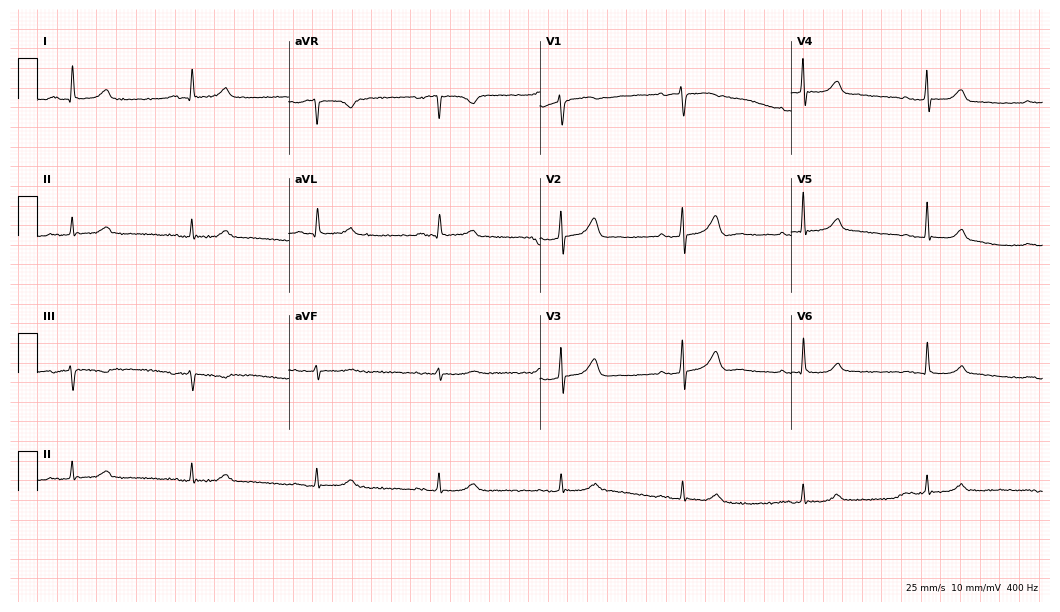
12-lead ECG from a woman, 63 years old. Shows first-degree AV block, sinus bradycardia (a sinus rate of 50 beats per minute or less).